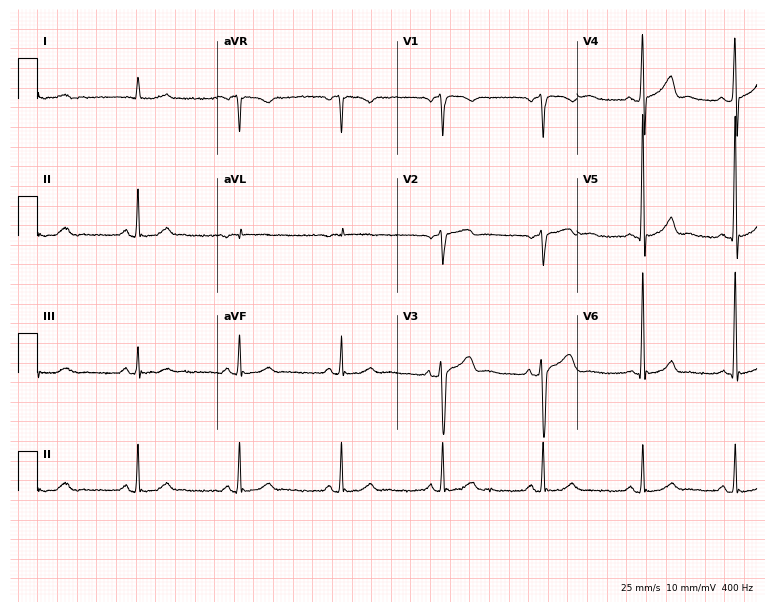
Electrocardiogram, a male, 80 years old. Of the six screened findings (first-degree AV block, right bundle branch block, left bundle branch block, sinus bradycardia, atrial fibrillation, sinus tachycardia), none is recorded.